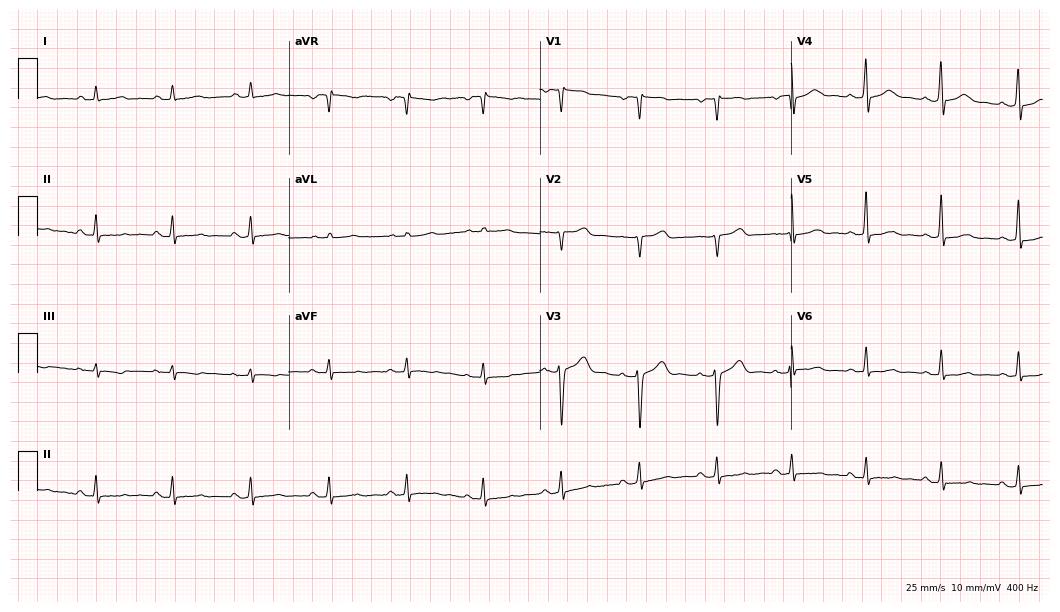
Resting 12-lead electrocardiogram (10.2-second recording at 400 Hz). Patient: a female, 49 years old. None of these six findings is recorded: first-degree AV block, right bundle branch block, left bundle branch block, sinus bradycardia, atrial fibrillation, sinus tachycardia. Findings outside these six are not listed.